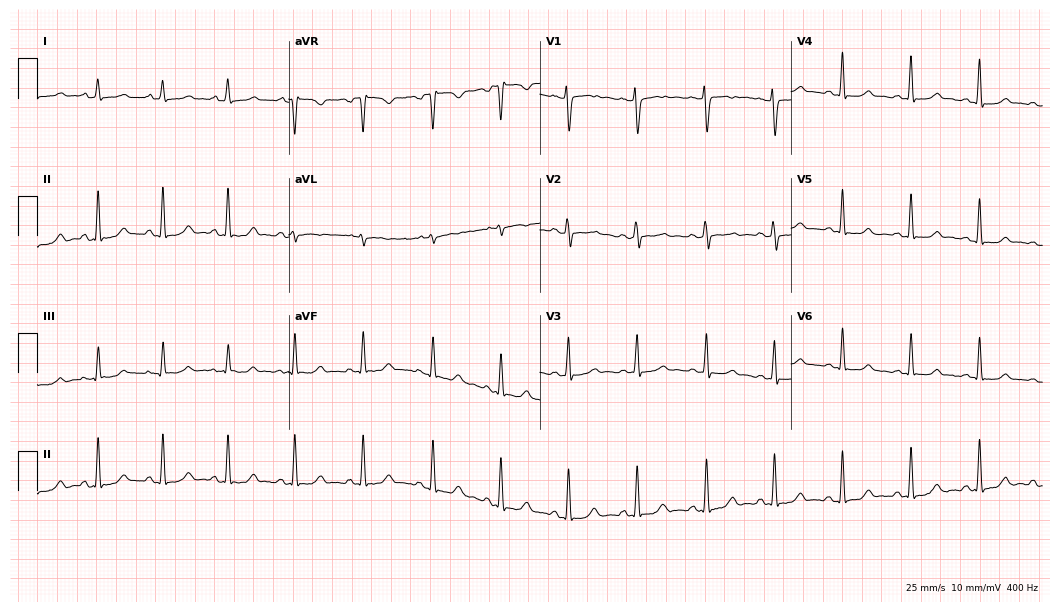
12-lead ECG (10.2-second recording at 400 Hz) from a 22-year-old woman. Labelled as a normal ECG.